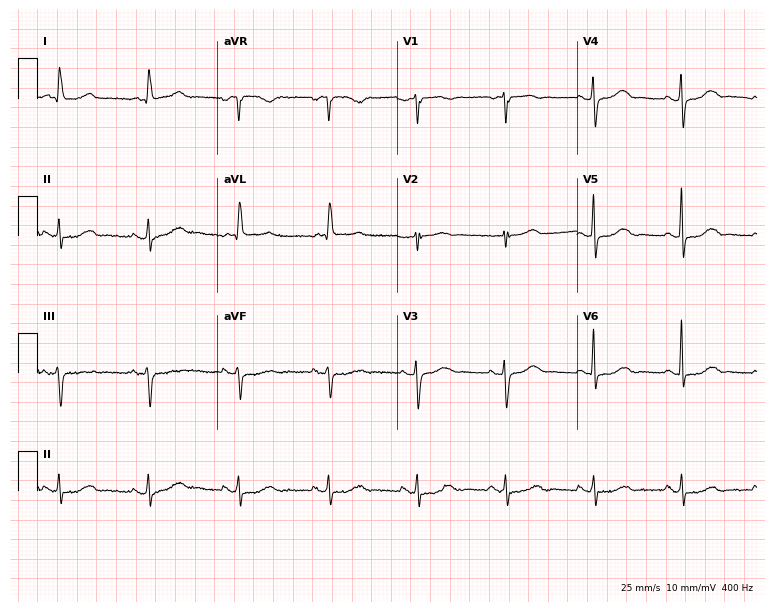
Standard 12-lead ECG recorded from a female, 84 years old (7.3-second recording at 400 Hz). Read as a normal ECG.